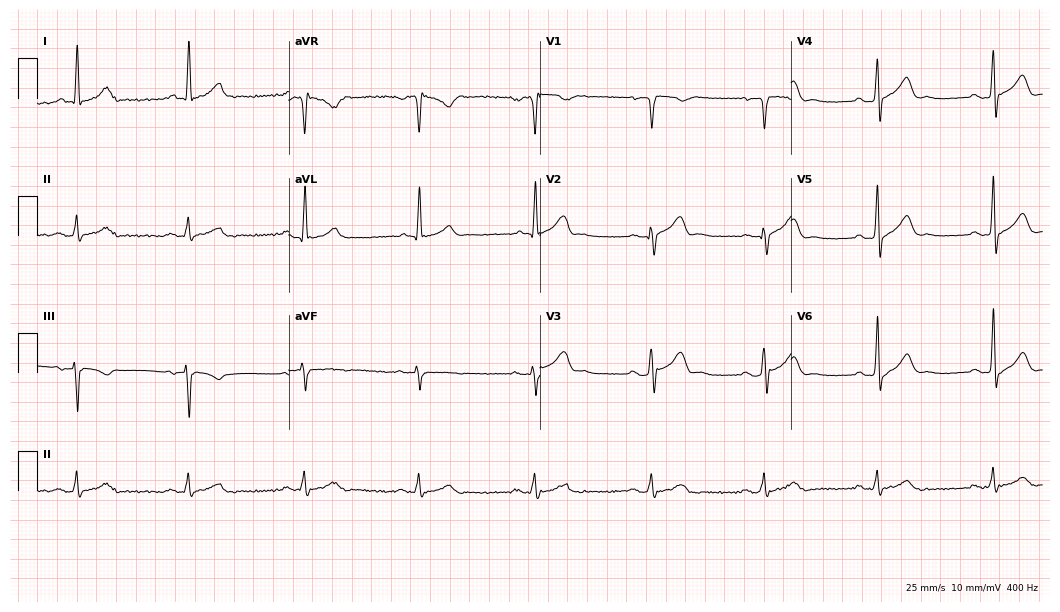
Standard 12-lead ECG recorded from a male patient, 47 years old. Read as a normal ECG.